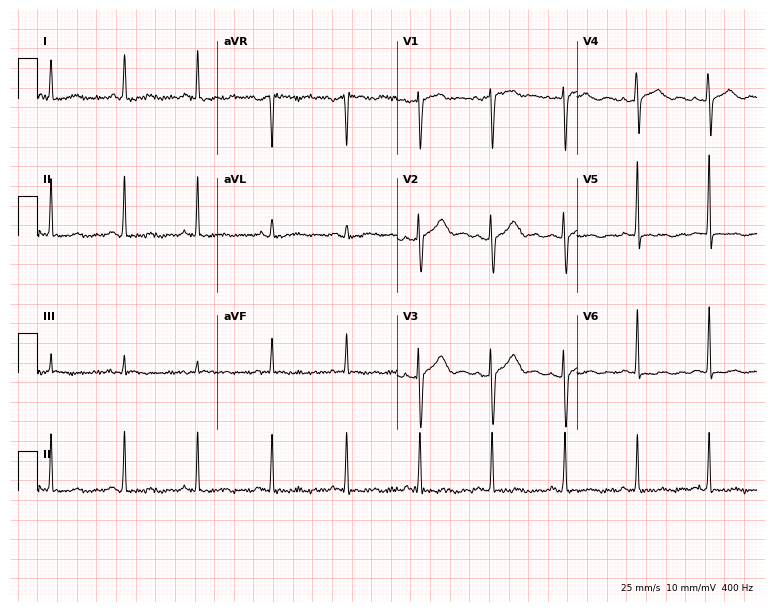
ECG — a 51-year-old woman. Screened for six findings — first-degree AV block, right bundle branch block (RBBB), left bundle branch block (LBBB), sinus bradycardia, atrial fibrillation (AF), sinus tachycardia — none is recorded. Only these six findings were labelled.